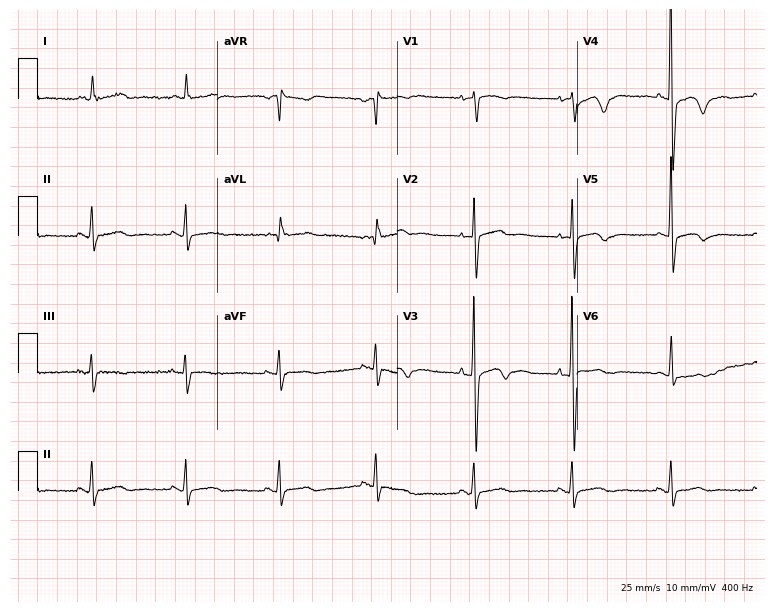
Resting 12-lead electrocardiogram (7.3-second recording at 400 Hz). Patient: a 66-year-old woman. None of these six findings is recorded: first-degree AV block, right bundle branch block, left bundle branch block, sinus bradycardia, atrial fibrillation, sinus tachycardia. Other findings, if any, are not listed.